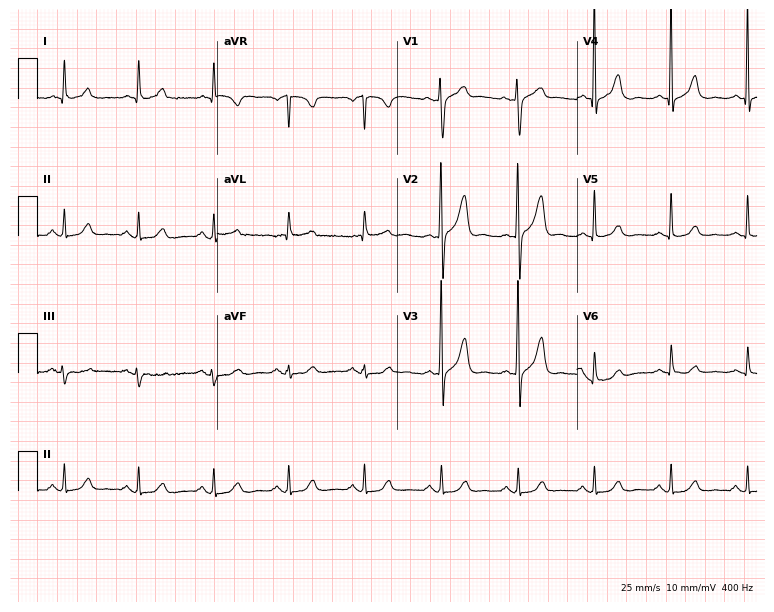
Resting 12-lead electrocardiogram (7.3-second recording at 400 Hz). Patient: a 66-year-old female. Read as a normal ECG.